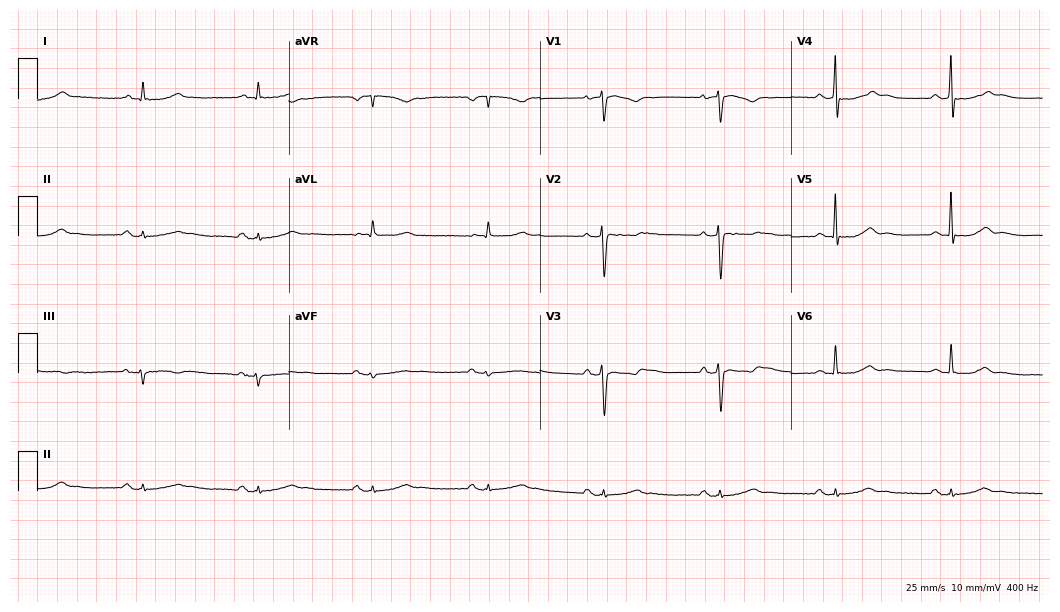
12-lead ECG from a 57-year-old female patient. No first-degree AV block, right bundle branch block, left bundle branch block, sinus bradycardia, atrial fibrillation or sinus tachycardia recorded for this tracing. Only these six findings were labelled.